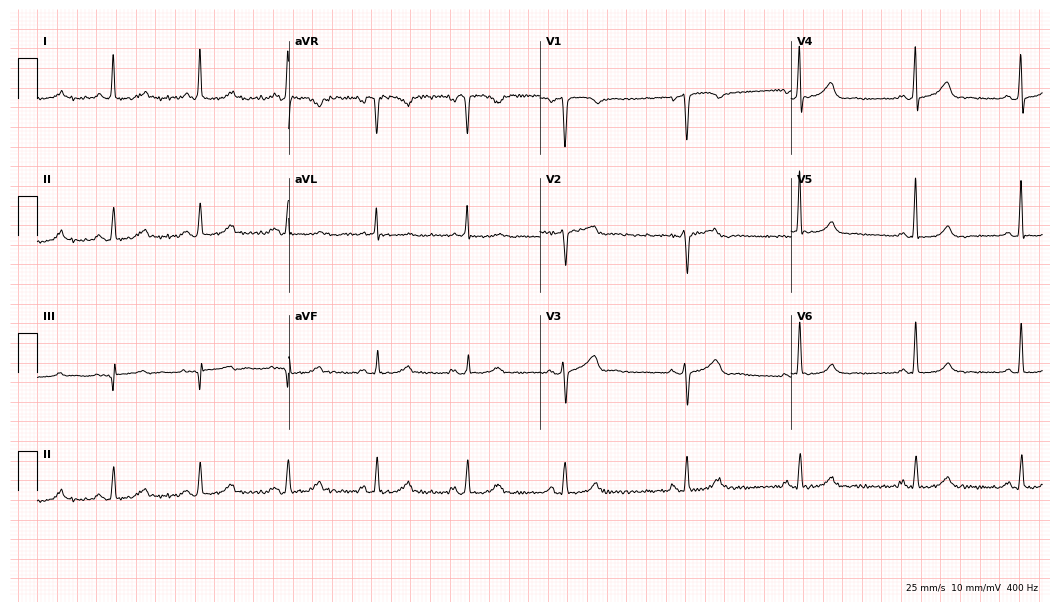
ECG (10.2-second recording at 400 Hz) — a 76-year-old female patient. Labelled as a normal ECG.